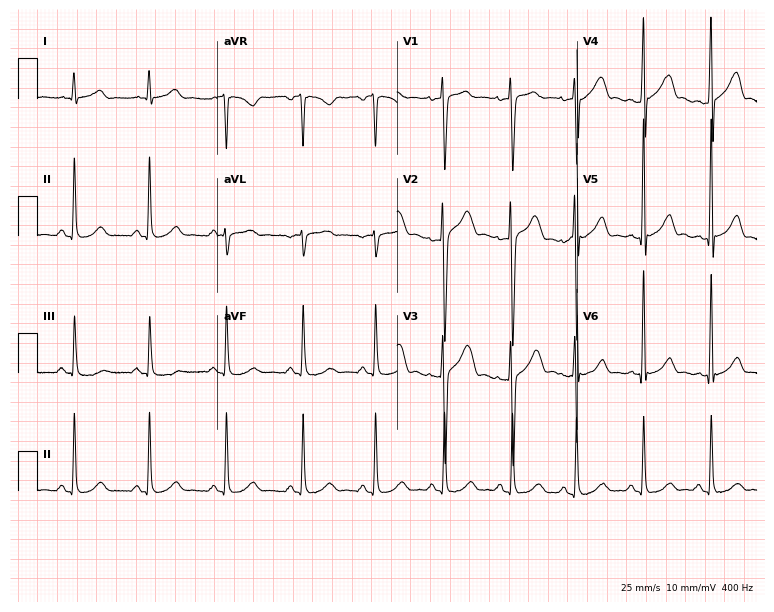
ECG (7.3-second recording at 400 Hz) — a 33-year-old man. Labelled as a normal ECG.